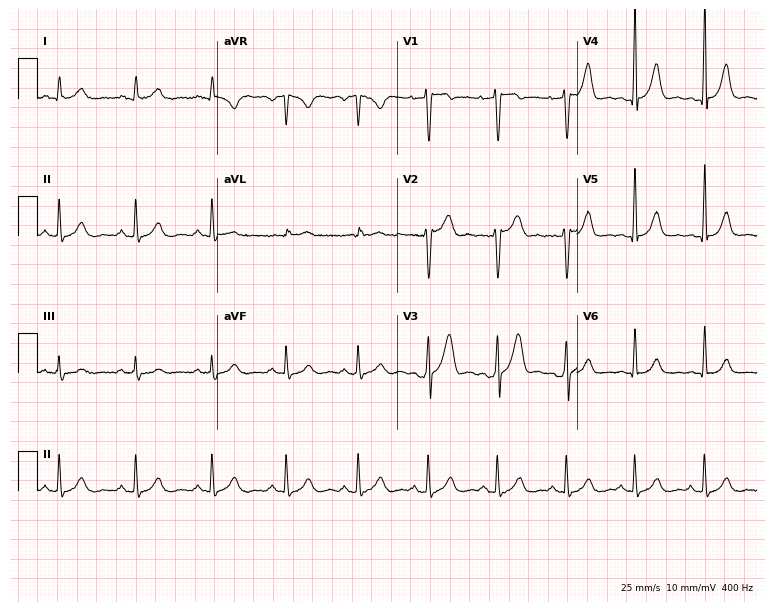
12-lead ECG from a 30-year-old male patient. Labelled as a normal ECG.